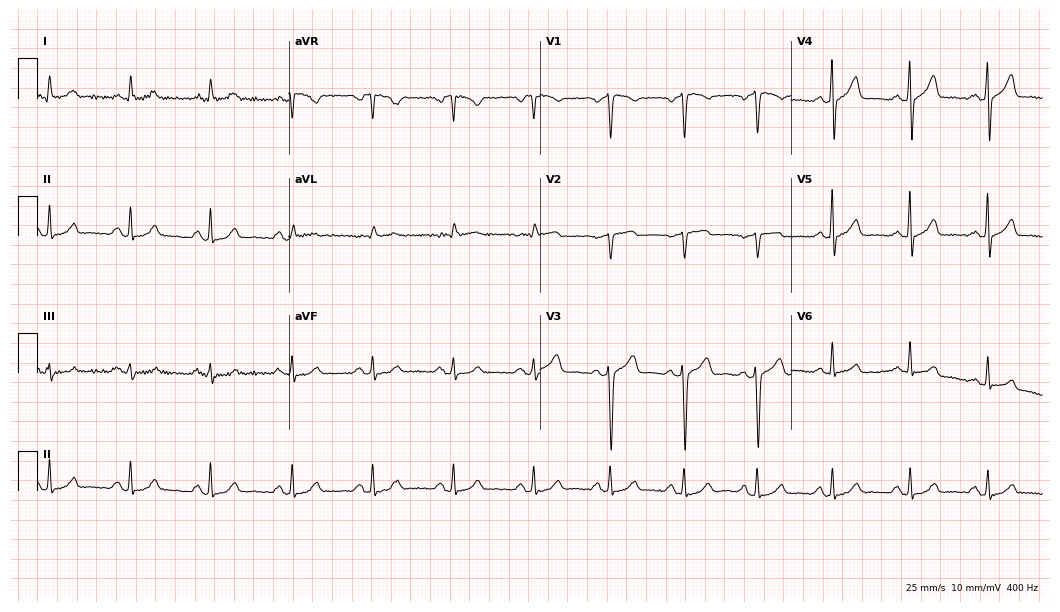
Electrocardiogram (10.2-second recording at 400 Hz), a 79-year-old woman. Of the six screened findings (first-degree AV block, right bundle branch block, left bundle branch block, sinus bradycardia, atrial fibrillation, sinus tachycardia), none is recorded.